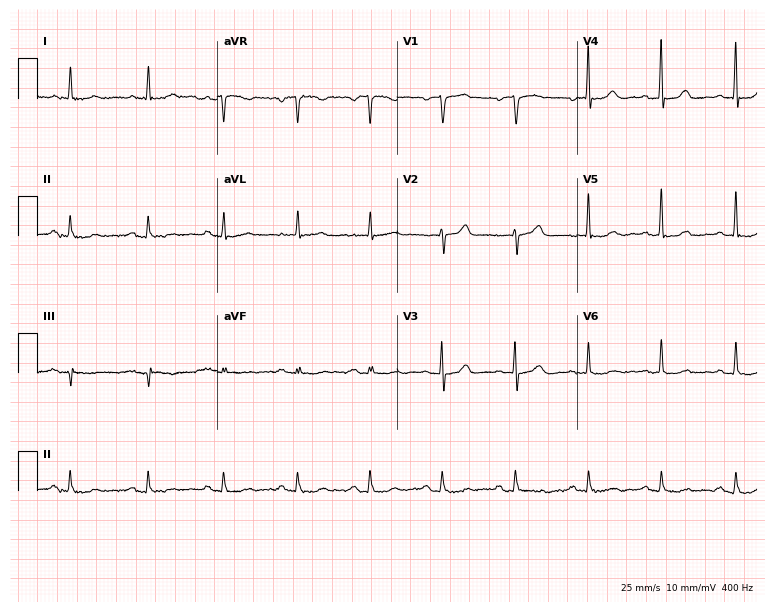
Standard 12-lead ECG recorded from a 77-year-old man. None of these six findings is recorded: first-degree AV block, right bundle branch block, left bundle branch block, sinus bradycardia, atrial fibrillation, sinus tachycardia.